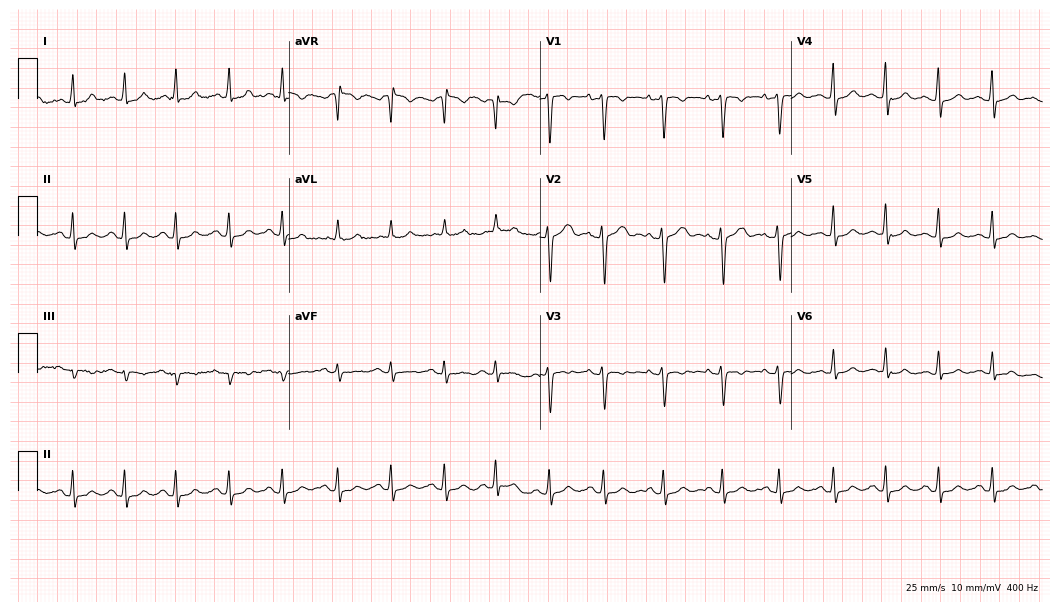
Resting 12-lead electrocardiogram. Patient: a 29-year-old female. The tracing shows sinus tachycardia (a sinus rate of 100 beats per minute or more).